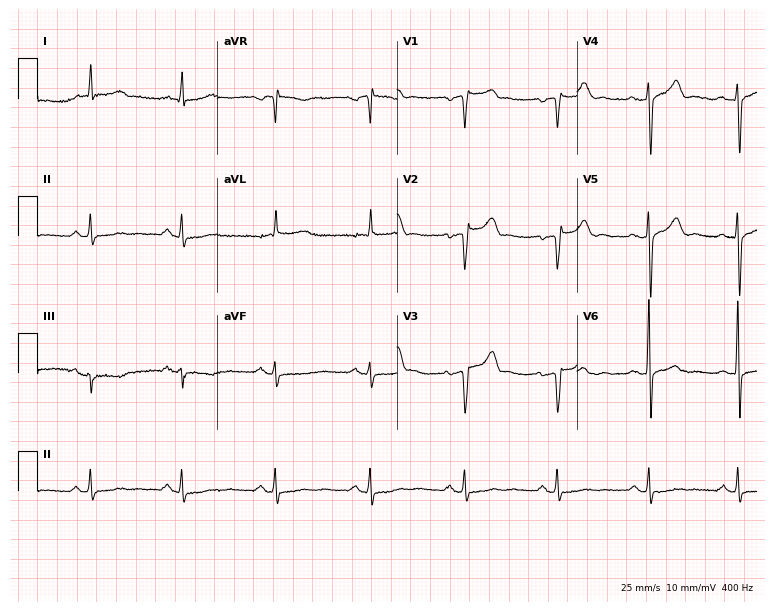
Resting 12-lead electrocardiogram. Patient: a 59-year-old man. None of these six findings is recorded: first-degree AV block, right bundle branch block (RBBB), left bundle branch block (LBBB), sinus bradycardia, atrial fibrillation (AF), sinus tachycardia. Findings outside these six are not listed.